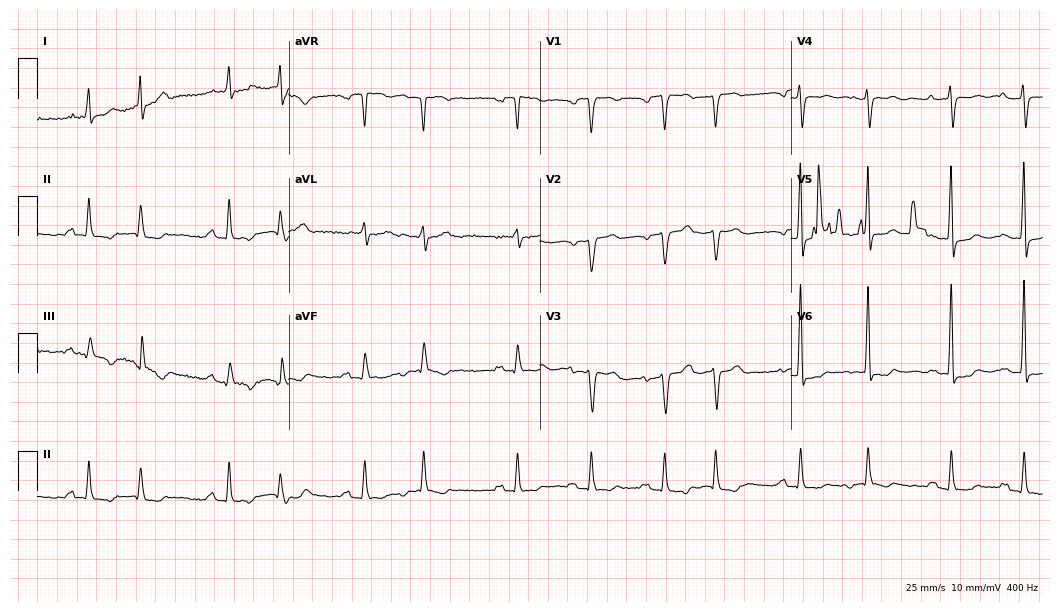
Electrocardiogram (10.2-second recording at 400 Hz), an 82-year-old female patient. Overall reading on record: normal ECG.